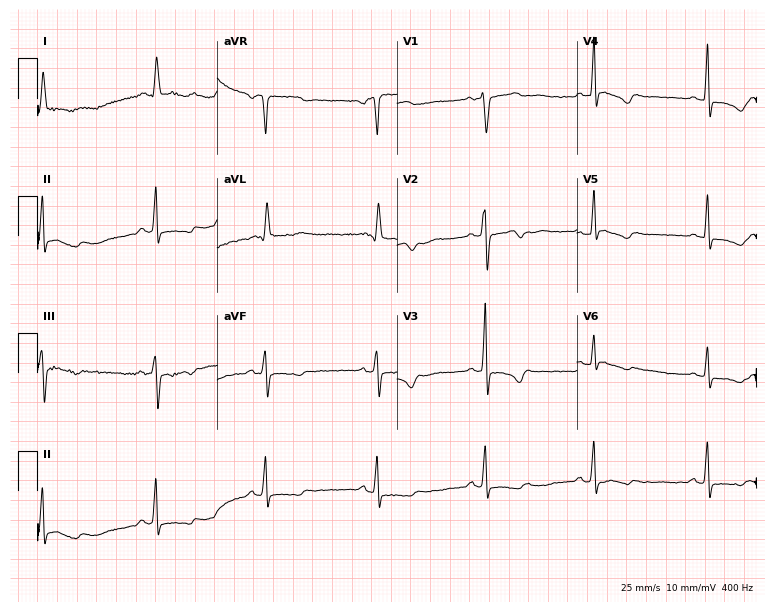
12-lead ECG from a female patient, 44 years old. No first-degree AV block, right bundle branch block (RBBB), left bundle branch block (LBBB), sinus bradycardia, atrial fibrillation (AF) or sinus tachycardia recorded for this tracing.